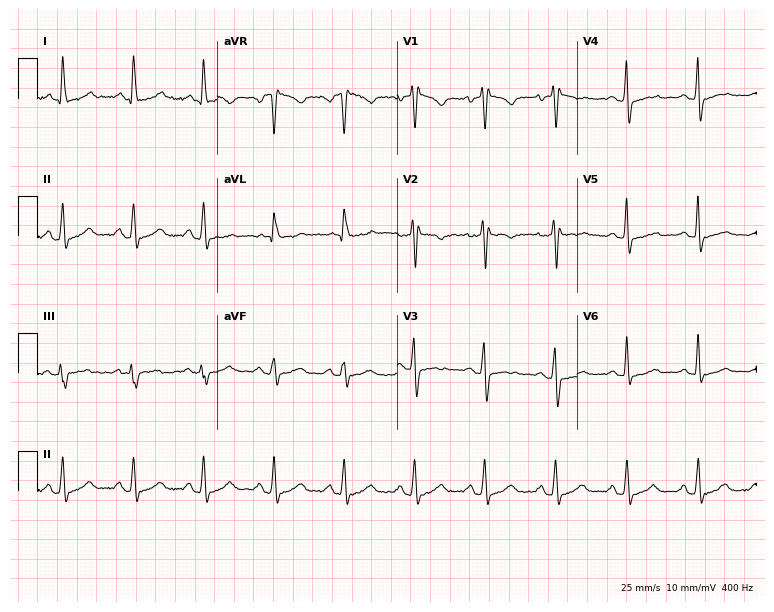
12-lead ECG from a 52-year-old female (7.3-second recording at 400 Hz). No first-degree AV block, right bundle branch block, left bundle branch block, sinus bradycardia, atrial fibrillation or sinus tachycardia recorded for this tracing. Findings outside these six are not listed.